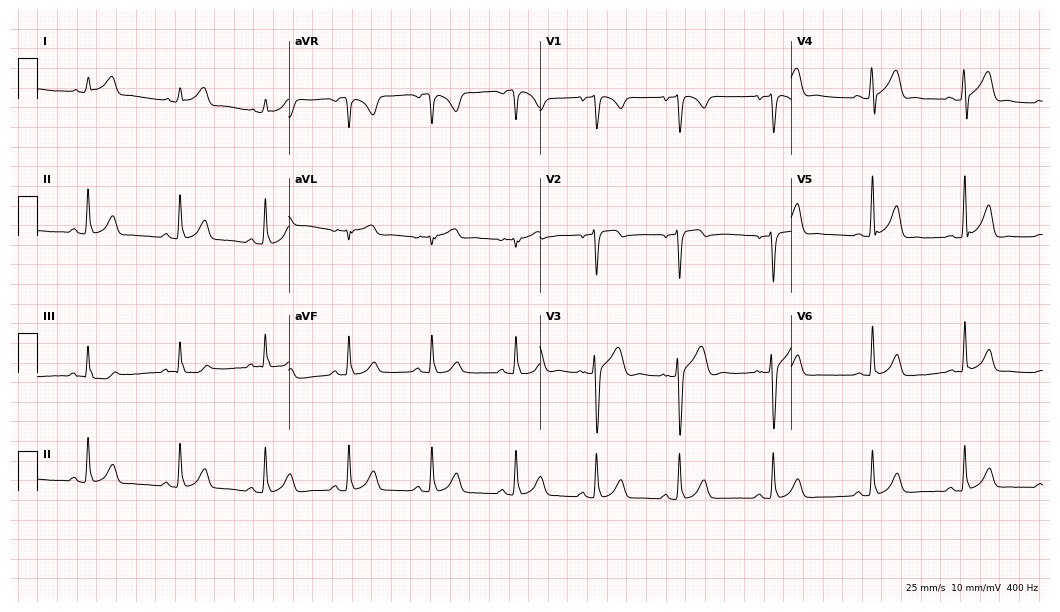
12-lead ECG (10.2-second recording at 400 Hz) from a 28-year-old man. Labelled as a normal ECG.